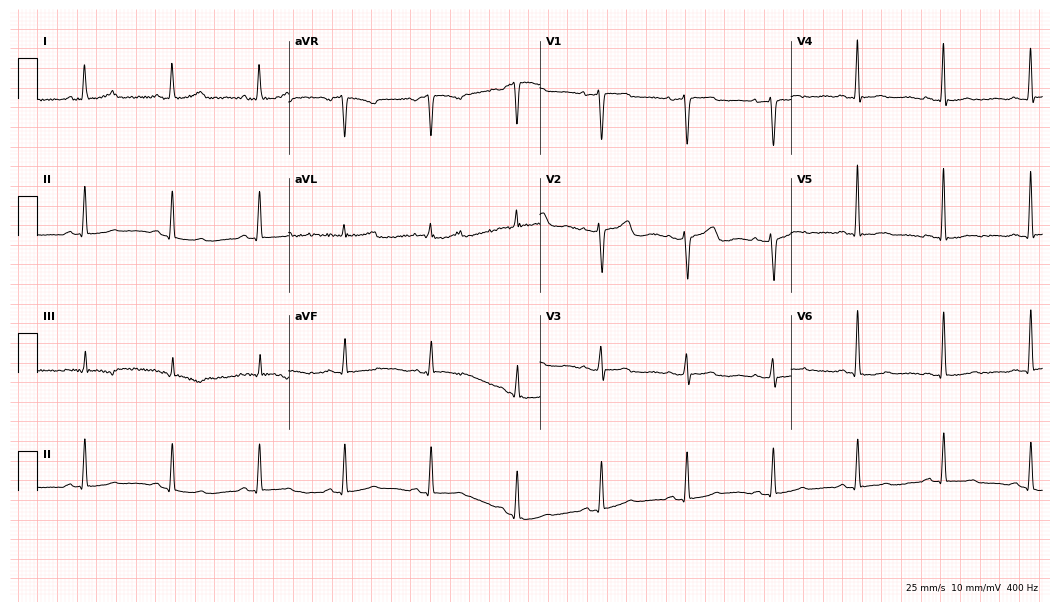
12-lead ECG from a female, 40 years old (10.2-second recording at 400 Hz). No first-degree AV block, right bundle branch block, left bundle branch block, sinus bradycardia, atrial fibrillation or sinus tachycardia recorded for this tracing.